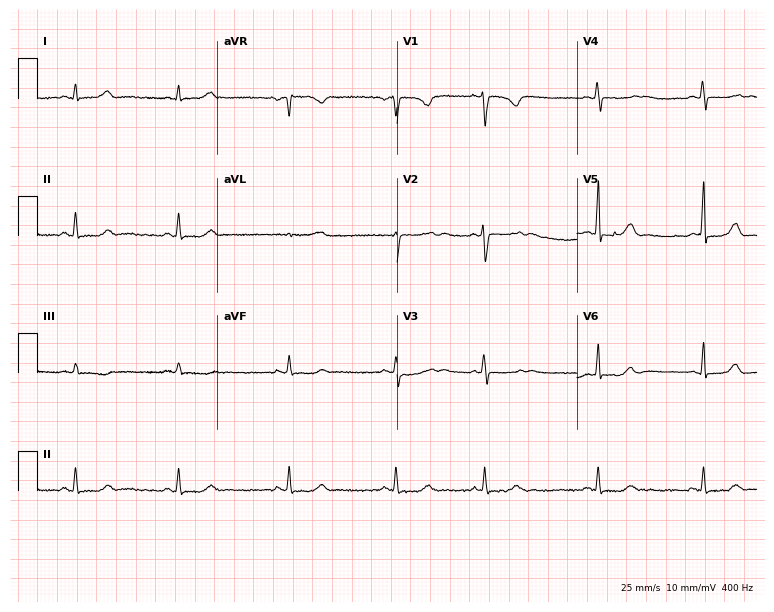
ECG (7.3-second recording at 400 Hz) — a female, 31 years old. Screened for six findings — first-degree AV block, right bundle branch block, left bundle branch block, sinus bradycardia, atrial fibrillation, sinus tachycardia — none is recorded. Only these six findings were labelled.